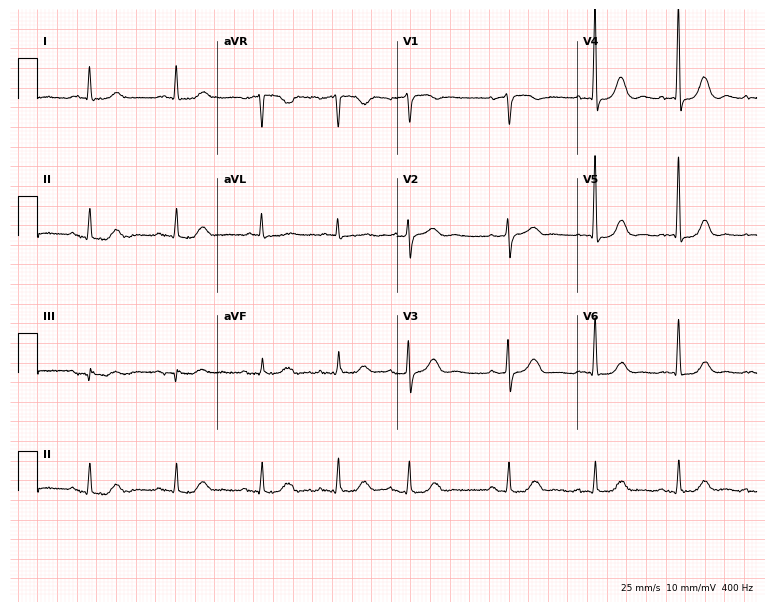
ECG (7.3-second recording at 400 Hz) — a female, 76 years old. Labelled as a normal ECG.